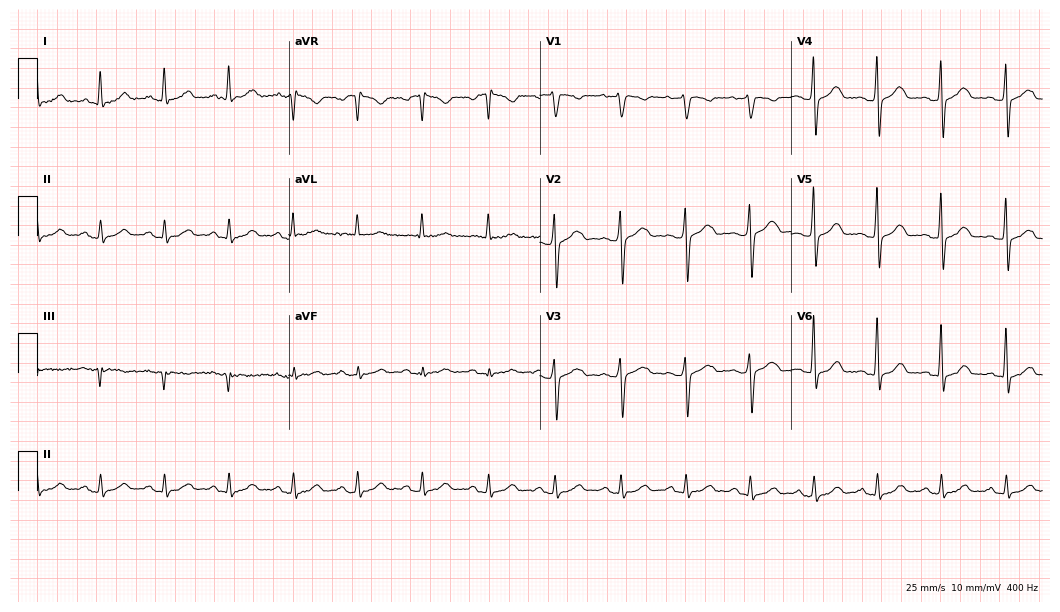
Electrocardiogram (10.2-second recording at 400 Hz), a 49-year-old male patient. Overall reading on record: normal ECG.